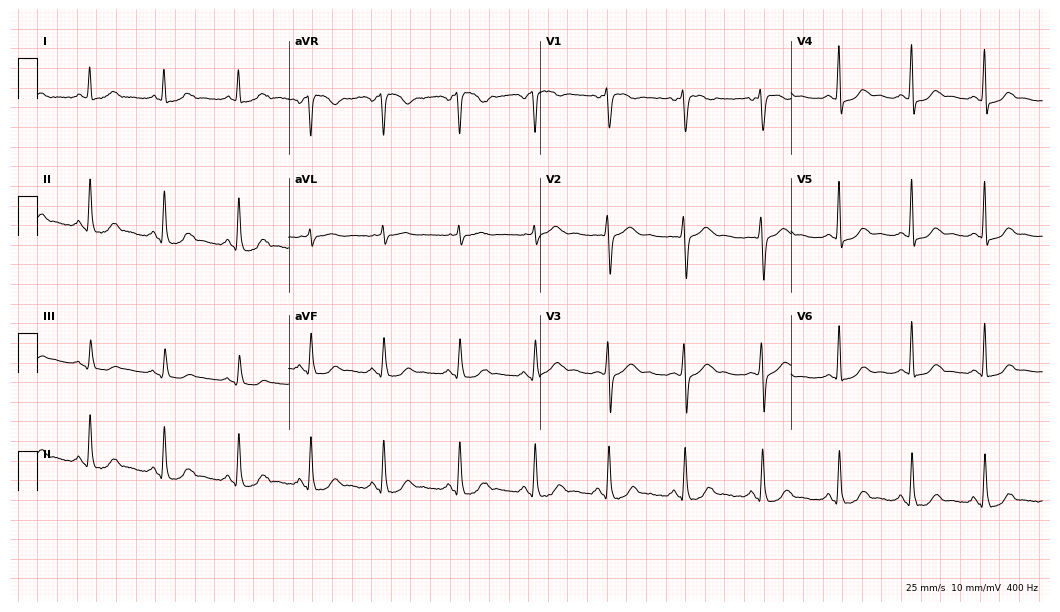
12-lead ECG from a female patient, 37 years old. Screened for six findings — first-degree AV block, right bundle branch block, left bundle branch block, sinus bradycardia, atrial fibrillation, sinus tachycardia — none is recorded. Other findings, if any, are not listed.